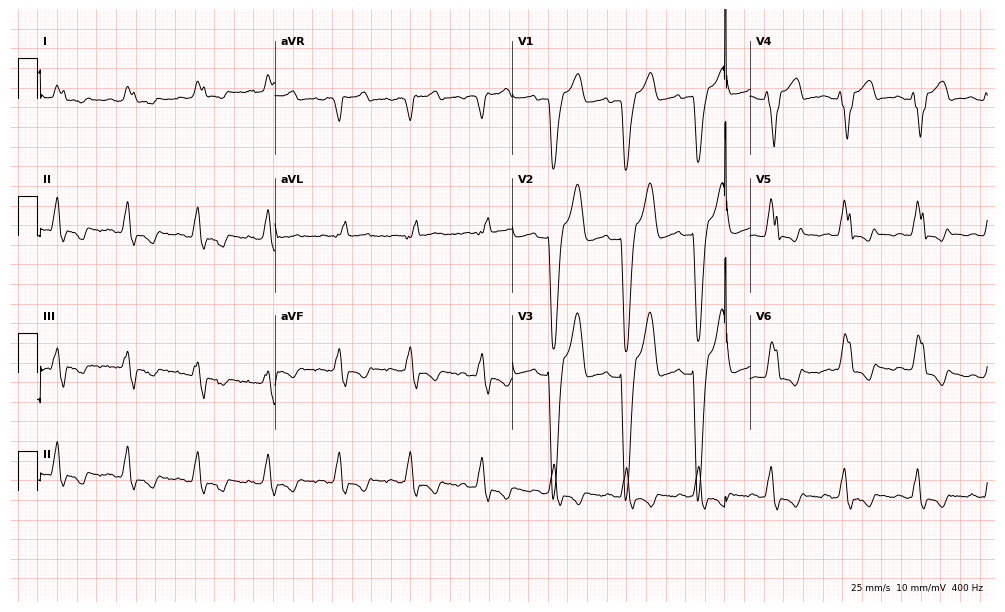
12-lead ECG from a male, 88 years old. Findings include left bundle branch block.